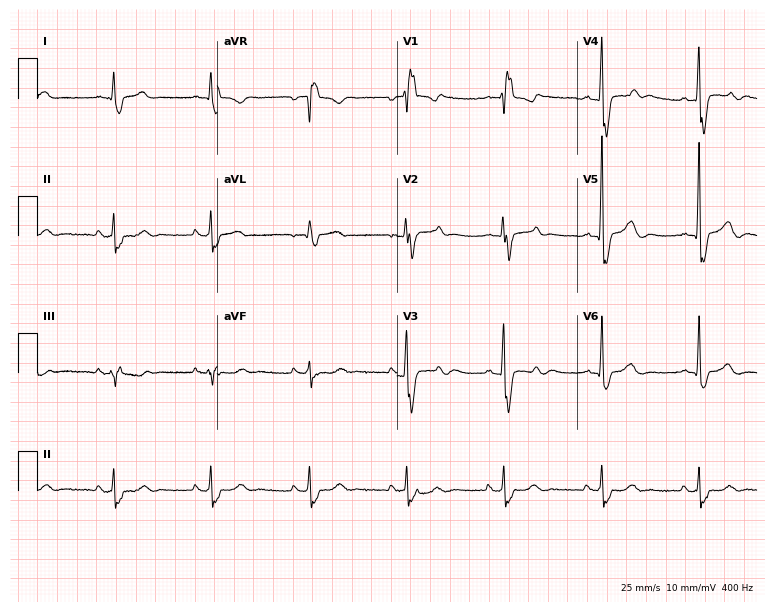
Standard 12-lead ECG recorded from a 50-year-old male patient (7.3-second recording at 400 Hz). The tracing shows right bundle branch block (RBBB).